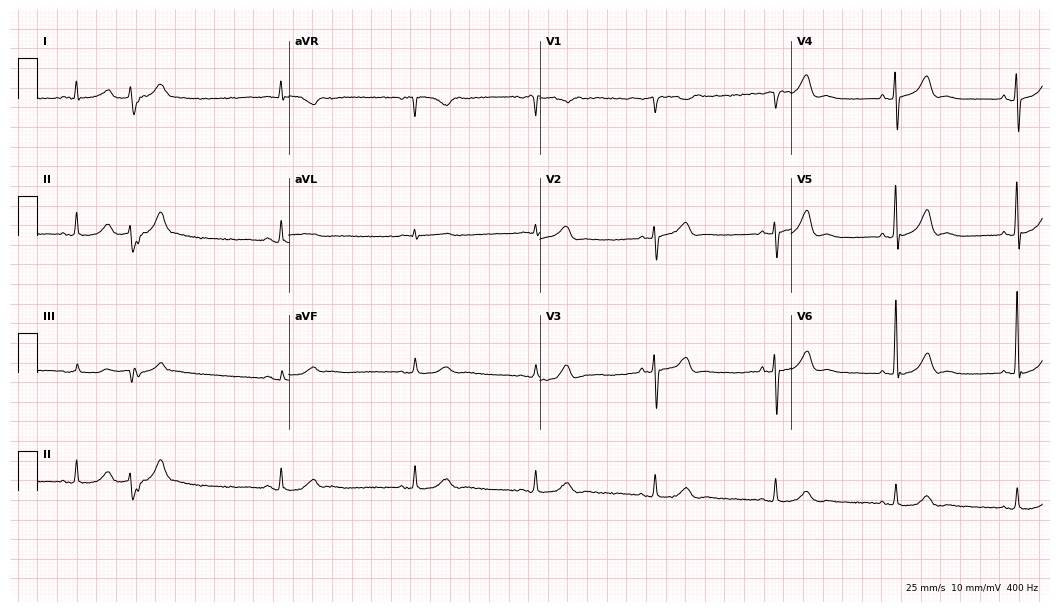
12-lead ECG from an 86-year-old man. Shows sinus bradycardia (a sinus rate of 50 beats per minute or less).